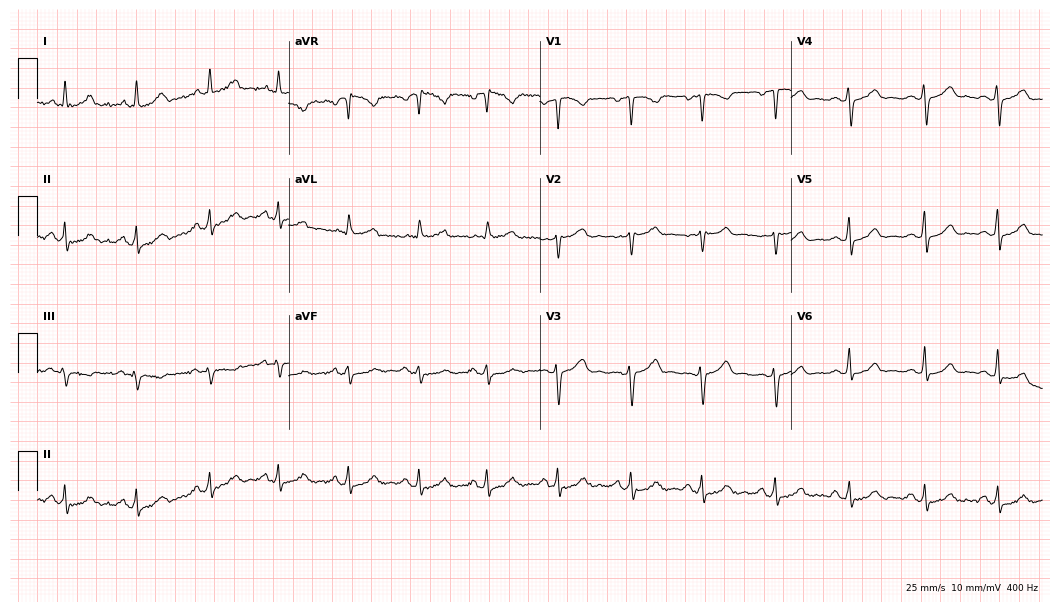
Standard 12-lead ECG recorded from a 35-year-old woman (10.2-second recording at 400 Hz). Read as a normal ECG.